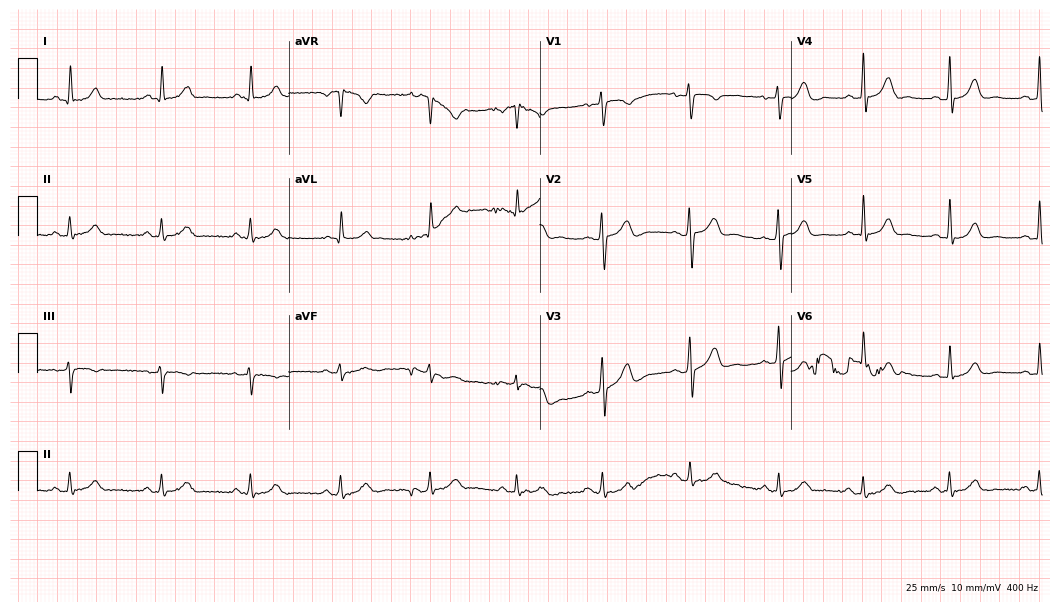
Electrocardiogram (10.2-second recording at 400 Hz), a 37-year-old female. Of the six screened findings (first-degree AV block, right bundle branch block (RBBB), left bundle branch block (LBBB), sinus bradycardia, atrial fibrillation (AF), sinus tachycardia), none is recorded. Findings outside these six are not listed.